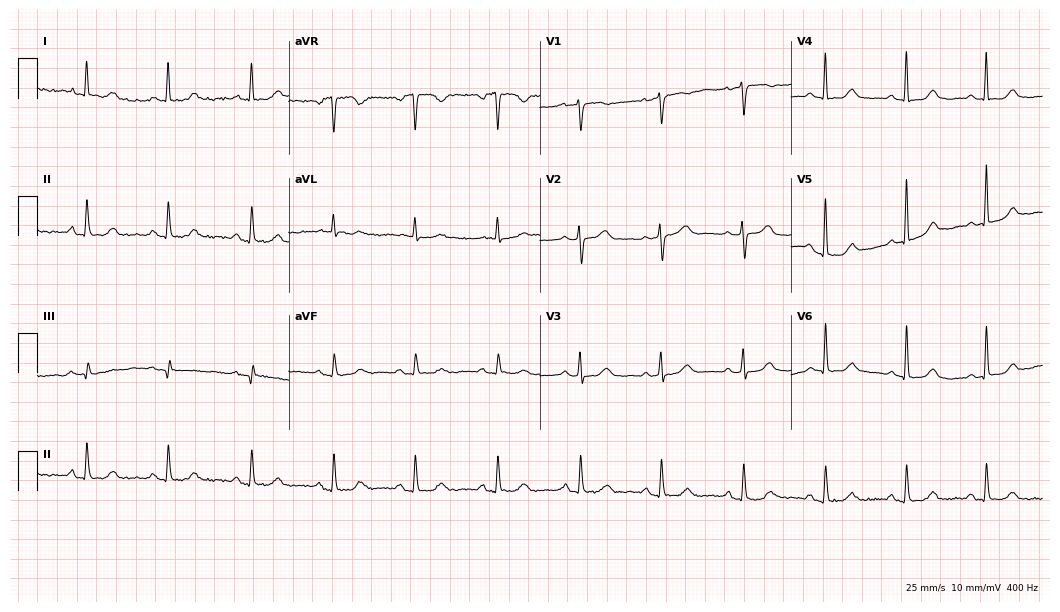
12-lead ECG (10.2-second recording at 400 Hz) from a female, 75 years old. Screened for six findings — first-degree AV block, right bundle branch block, left bundle branch block, sinus bradycardia, atrial fibrillation, sinus tachycardia — none is recorded. Other findings, if any, are not listed.